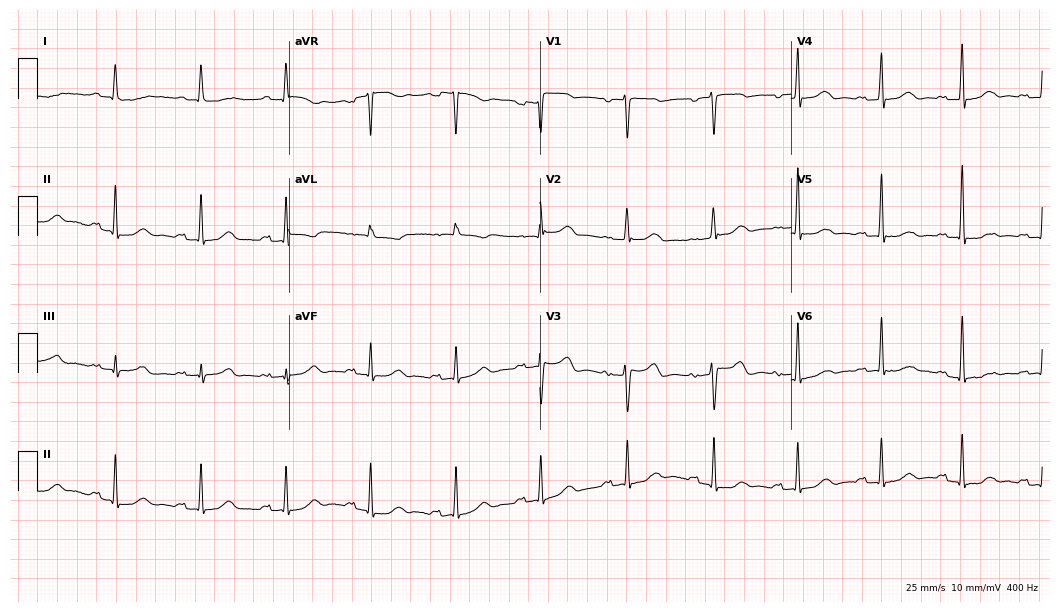
12-lead ECG (10.2-second recording at 400 Hz) from a woman, 68 years old. Findings include first-degree AV block.